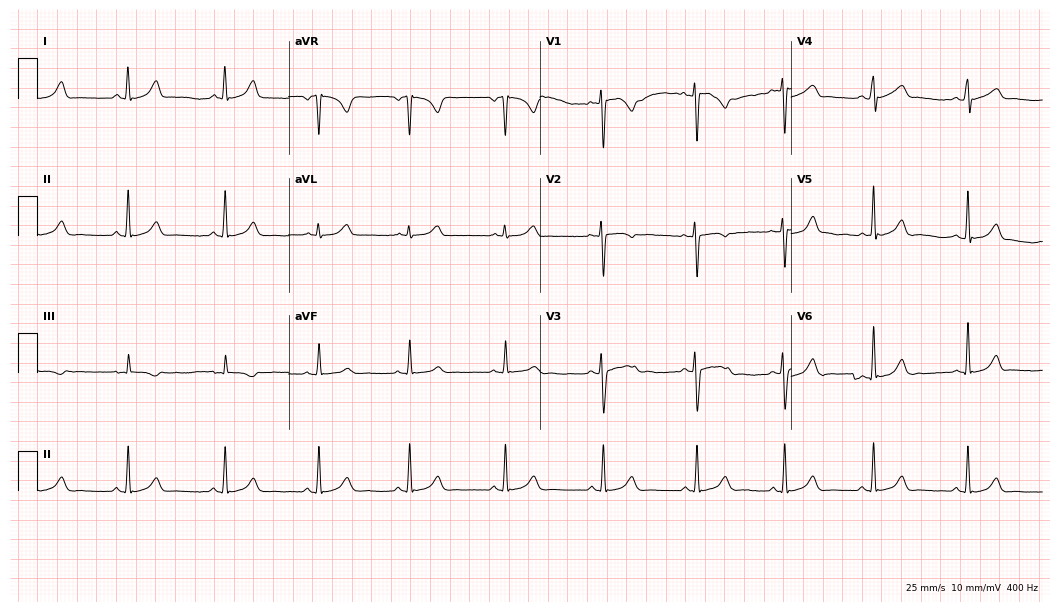
Resting 12-lead electrocardiogram. Patient: a female, 21 years old. Read as a normal ECG.